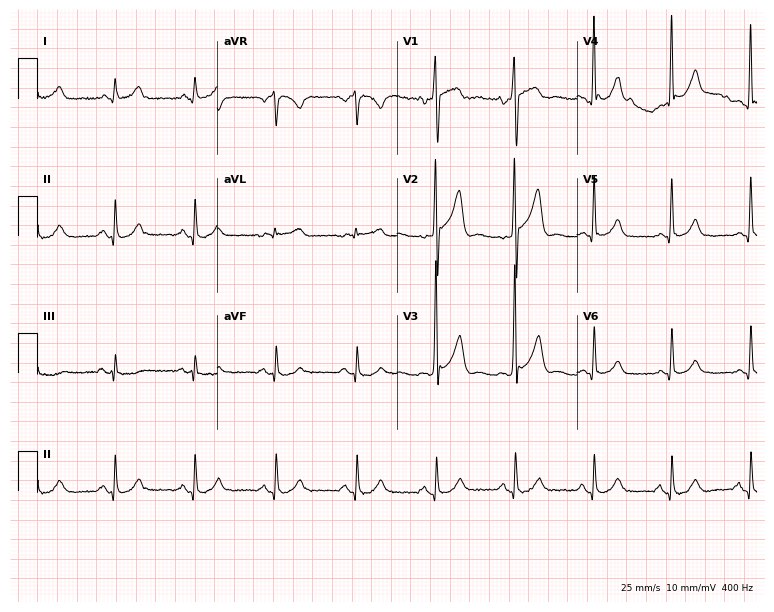
12-lead ECG from a 48-year-old man (7.3-second recording at 400 Hz). Recorded interpretation: within normal limits.